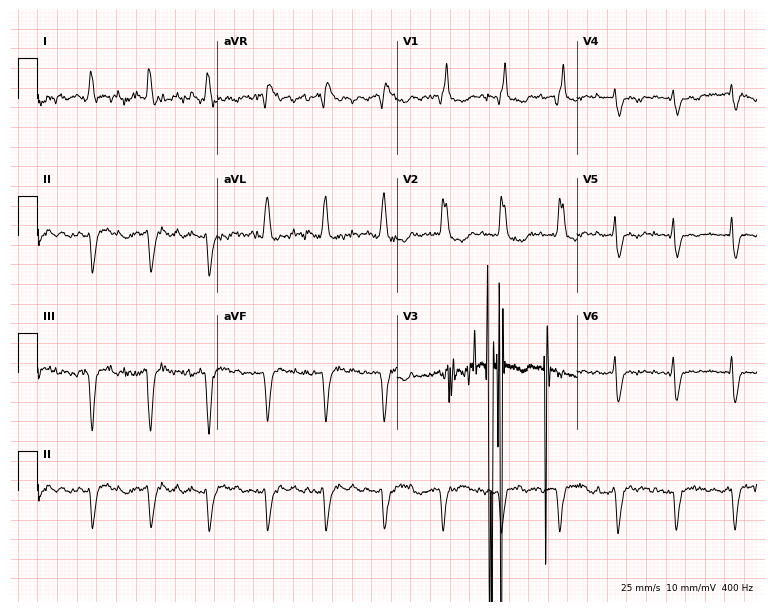
Electrocardiogram, a man, 77 years old. Of the six screened findings (first-degree AV block, right bundle branch block, left bundle branch block, sinus bradycardia, atrial fibrillation, sinus tachycardia), none is recorded.